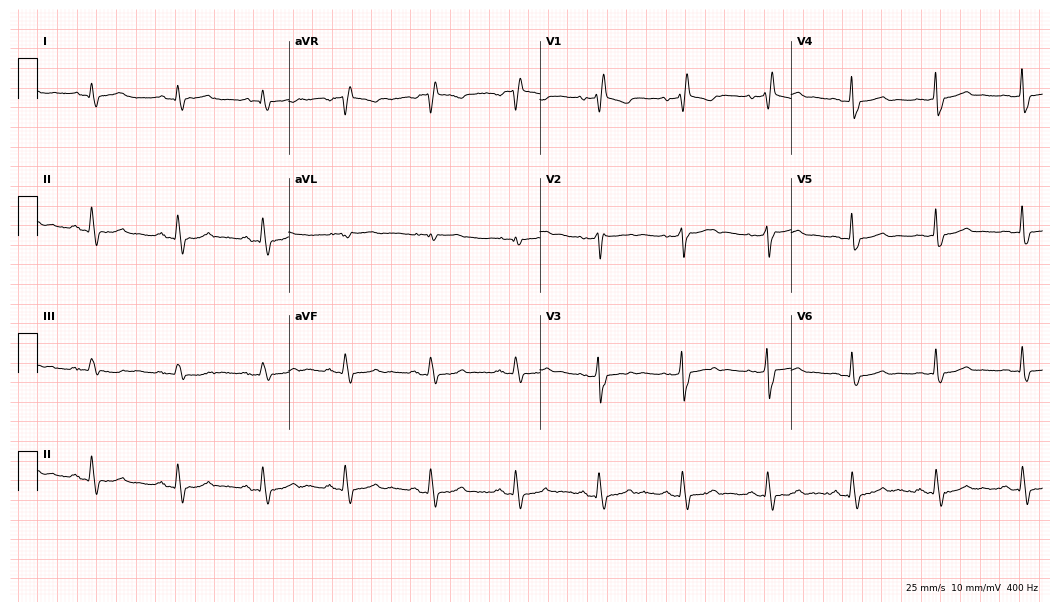
Resting 12-lead electrocardiogram. Patient: a 54-year-old female. The tracing shows right bundle branch block (RBBB).